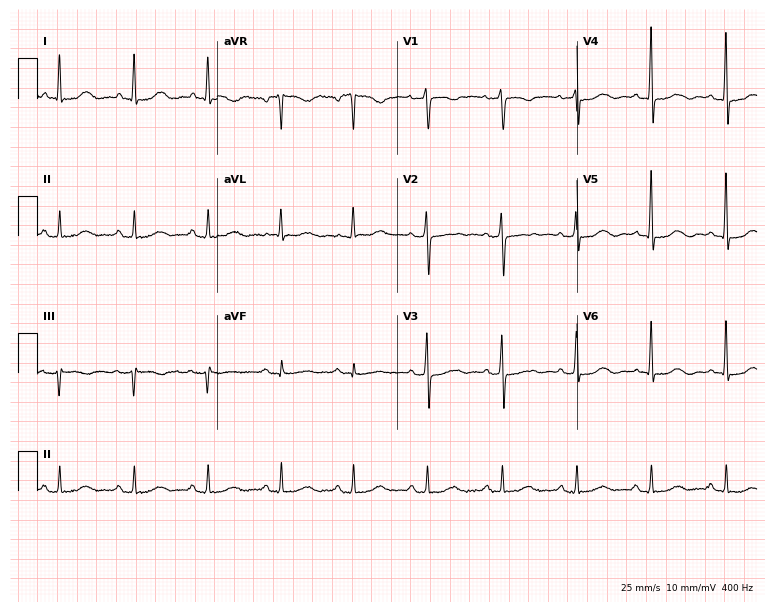
ECG (7.3-second recording at 400 Hz) — a female, 63 years old. Screened for six findings — first-degree AV block, right bundle branch block, left bundle branch block, sinus bradycardia, atrial fibrillation, sinus tachycardia — none is recorded. Findings outside these six are not listed.